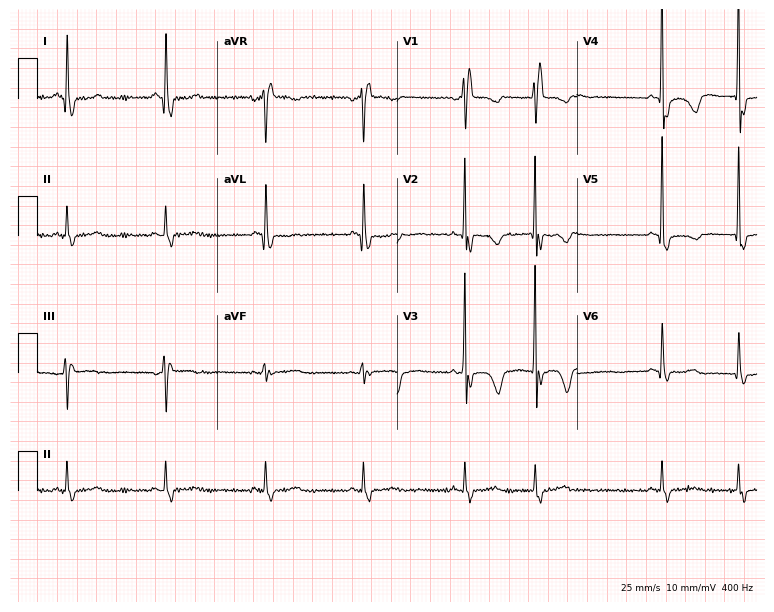
Resting 12-lead electrocardiogram. Patient: a 75-year-old female. None of these six findings is recorded: first-degree AV block, right bundle branch block, left bundle branch block, sinus bradycardia, atrial fibrillation, sinus tachycardia.